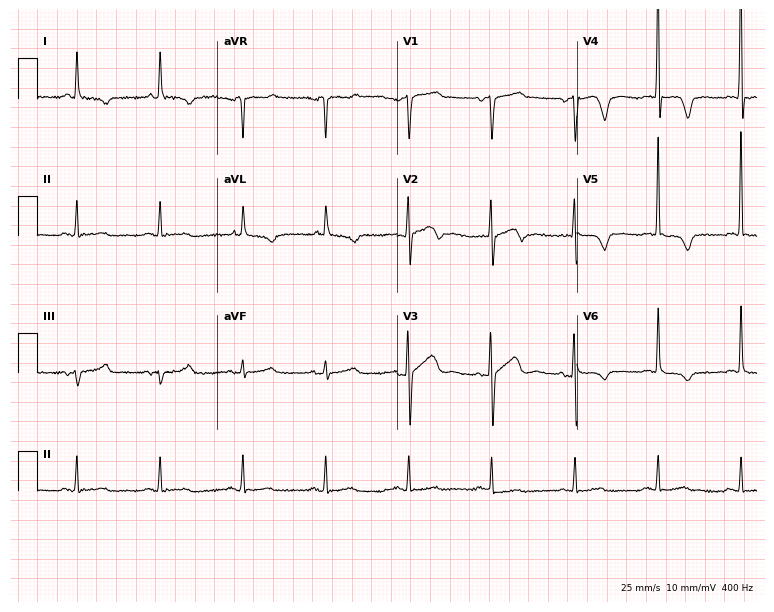
12-lead ECG from a male, 73 years old. Screened for six findings — first-degree AV block, right bundle branch block, left bundle branch block, sinus bradycardia, atrial fibrillation, sinus tachycardia — none is recorded.